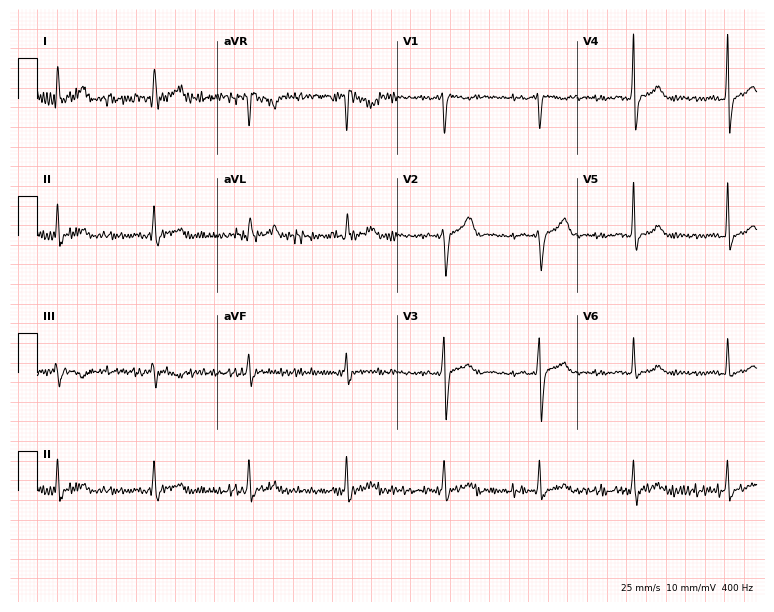
12-lead ECG from a 45-year-old male (7.3-second recording at 400 Hz). No first-degree AV block, right bundle branch block (RBBB), left bundle branch block (LBBB), sinus bradycardia, atrial fibrillation (AF) or sinus tachycardia recorded for this tracing. Only these six findings were labelled.